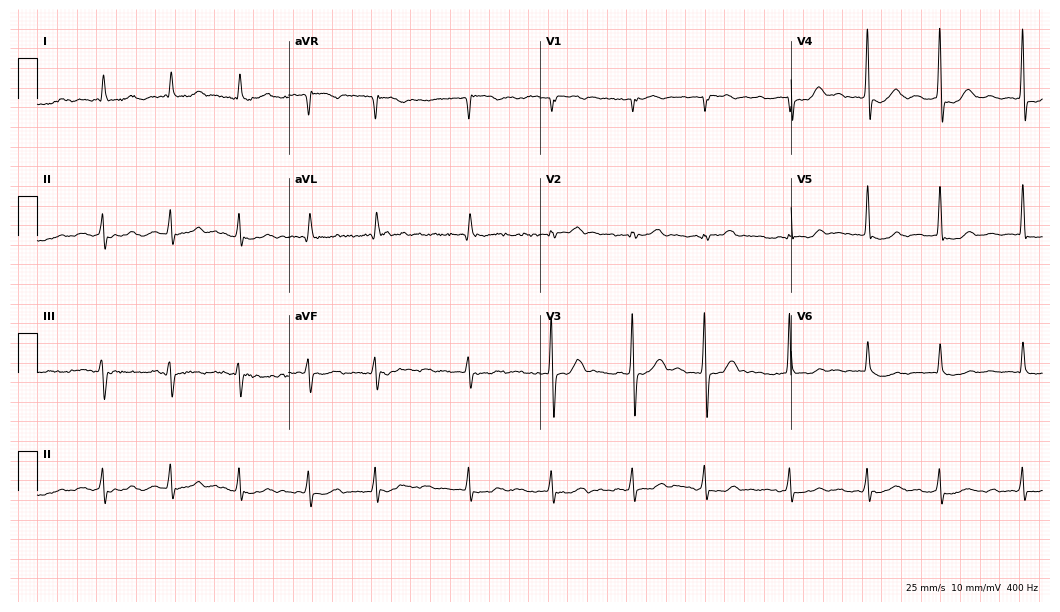
Resting 12-lead electrocardiogram. Patient: an 84-year-old man. Read as a normal ECG.